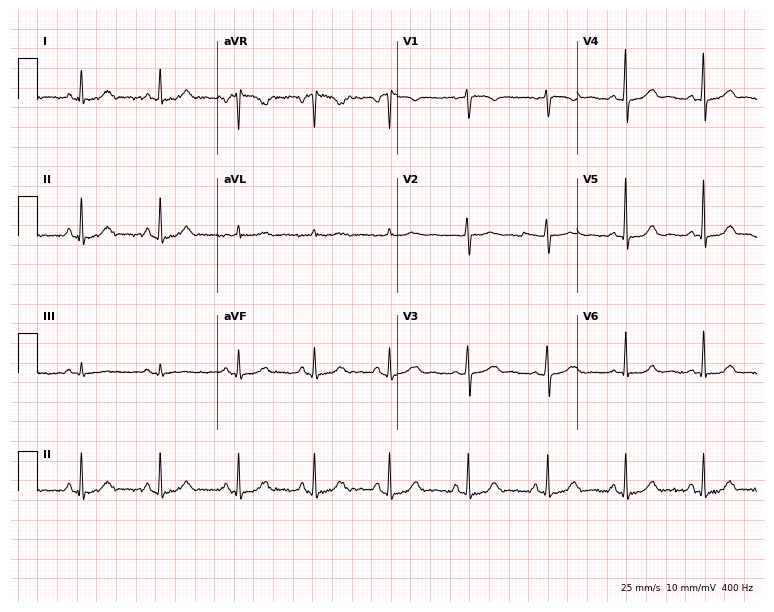
ECG — a woman, 48 years old. Labelled as a normal ECG.